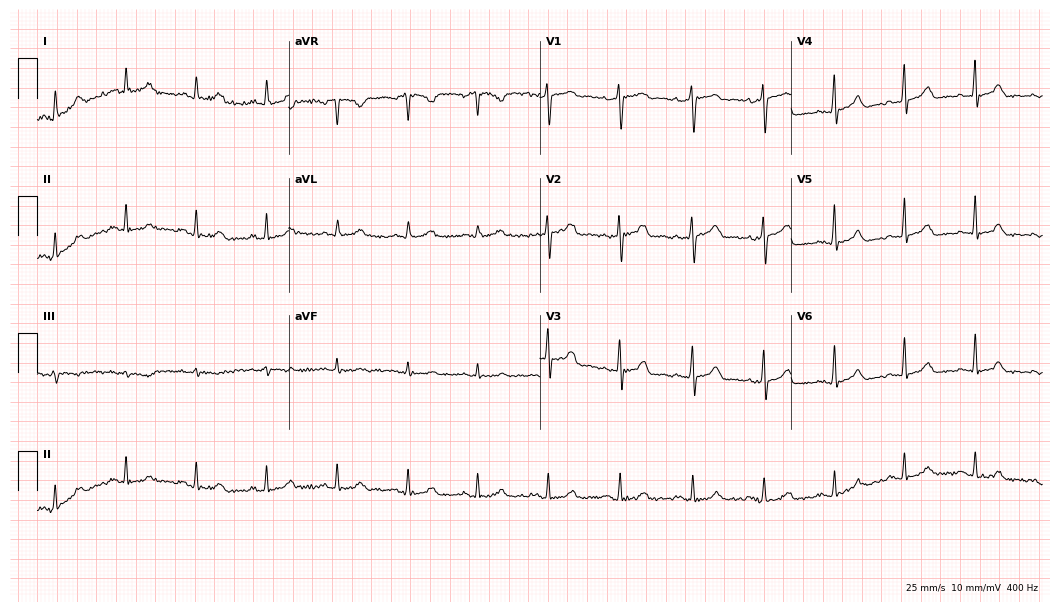
Electrocardiogram, a 37-year-old man. Of the six screened findings (first-degree AV block, right bundle branch block, left bundle branch block, sinus bradycardia, atrial fibrillation, sinus tachycardia), none is recorded. Only these six findings were labelled.